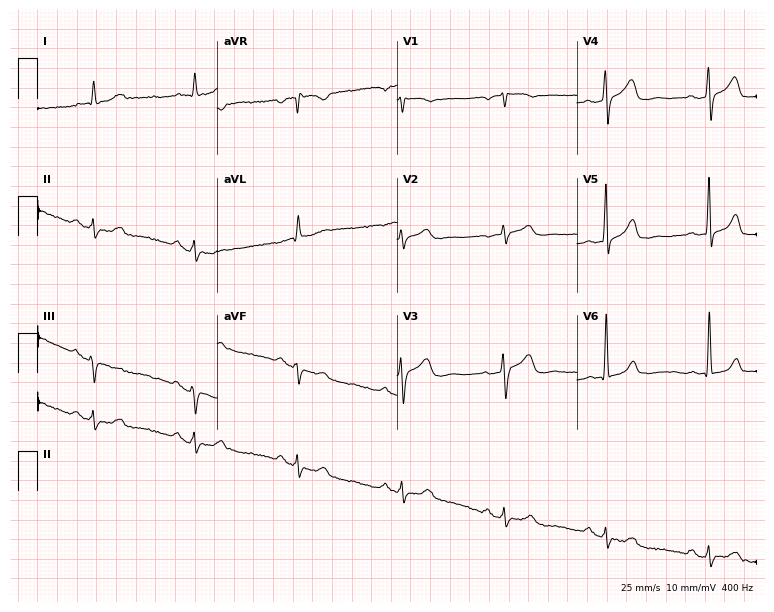
ECG (7.3-second recording at 400 Hz) — a 69-year-old male patient. Screened for six findings — first-degree AV block, right bundle branch block, left bundle branch block, sinus bradycardia, atrial fibrillation, sinus tachycardia — none is recorded. Other findings, if any, are not listed.